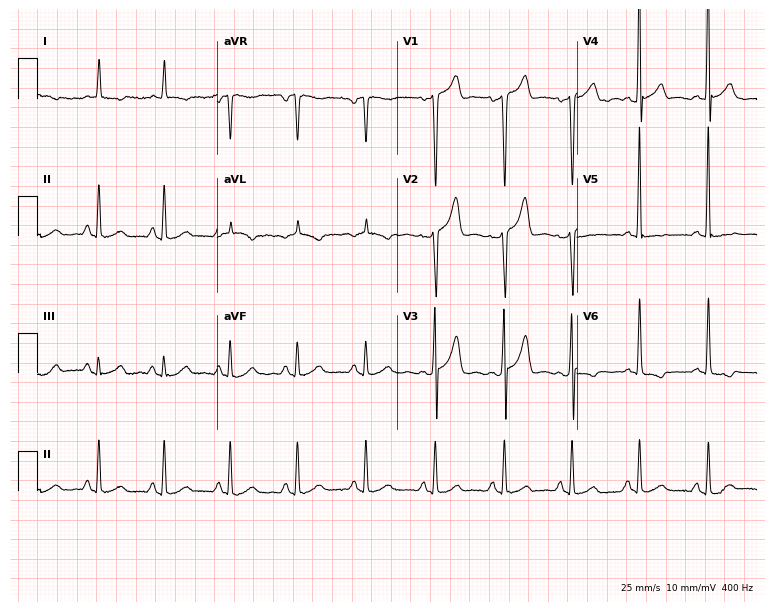
ECG (7.3-second recording at 400 Hz) — a man, 43 years old. Screened for six findings — first-degree AV block, right bundle branch block (RBBB), left bundle branch block (LBBB), sinus bradycardia, atrial fibrillation (AF), sinus tachycardia — none is recorded.